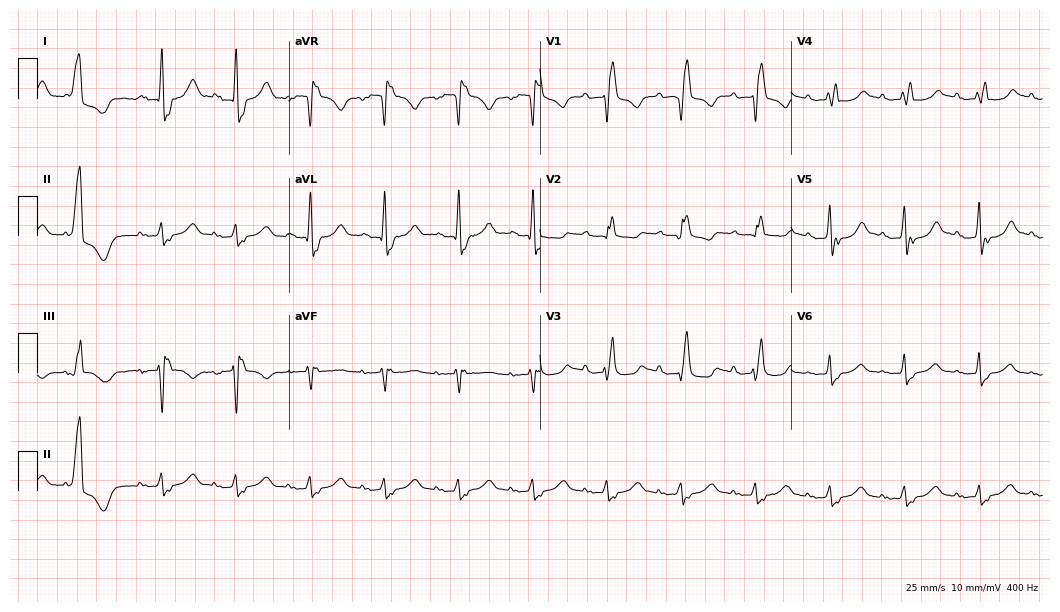
Standard 12-lead ECG recorded from a female, 61 years old (10.2-second recording at 400 Hz). The tracing shows first-degree AV block, right bundle branch block.